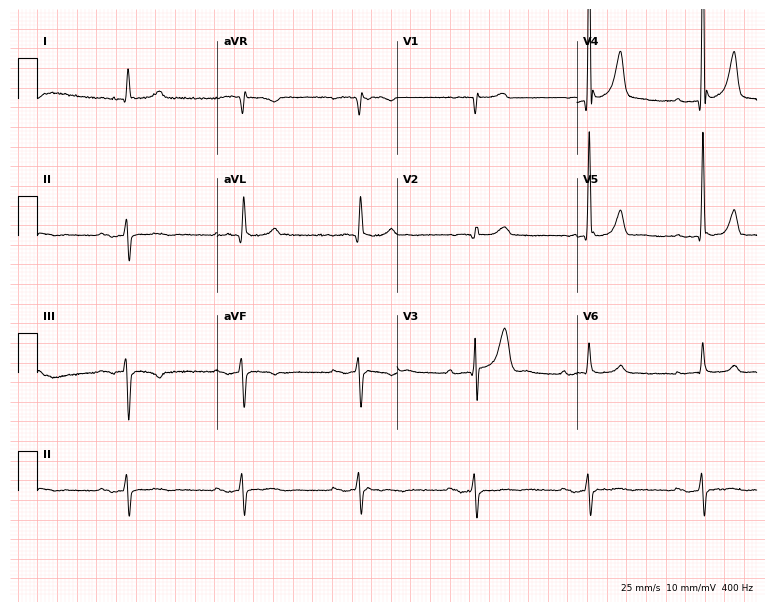
12-lead ECG (7.3-second recording at 400 Hz) from a man, 84 years old. Findings include first-degree AV block.